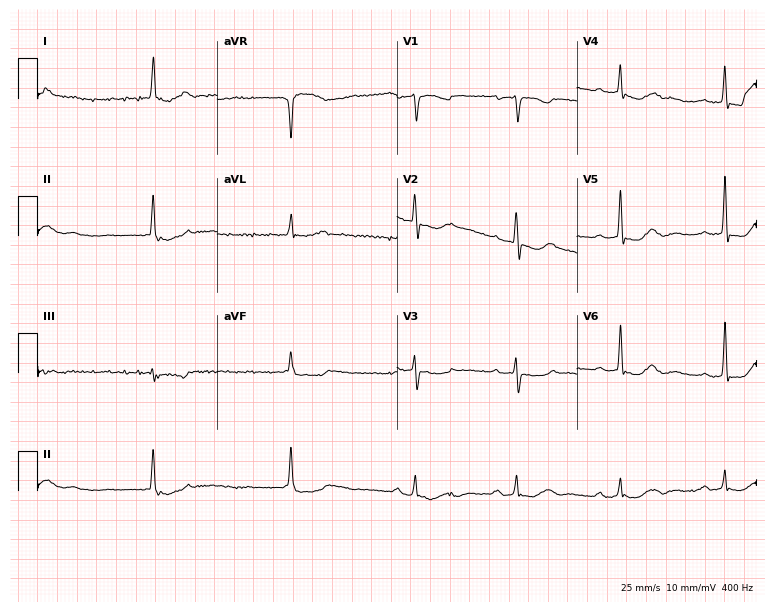
Electrocardiogram, a 66-year-old female patient. Of the six screened findings (first-degree AV block, right bundle branch block (RBBB), left bundle branch block (LBBB), sinus bradycardia, atrial fibrillation (AF), sinus tachycardia), none is recorded.